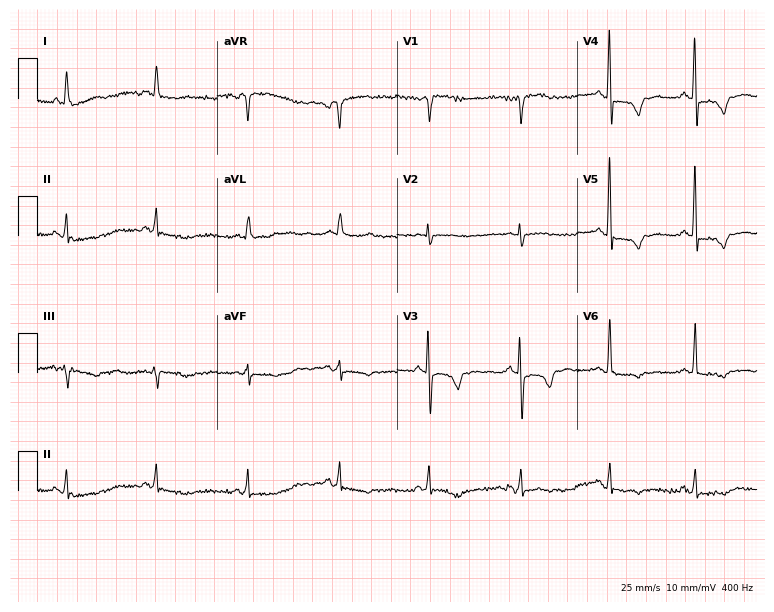
Electrocardiogram (7.3-second recording at 400 Hz), a female patient, 73 years old. Of the six screened findings (first-degree AV block, right bundle branch block, left bundle branch block, sinus bradycardia, atrial fibrillation, sinus tachycardia), none is recorded. Only these six findings were labelled.